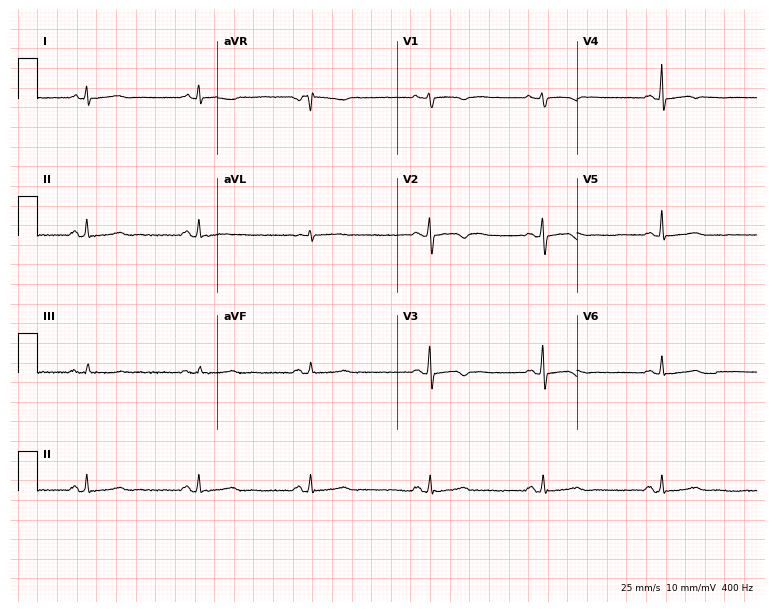
12-lead ECG from a female patient, 31 years old. Recorded interpretation: within normal limits.